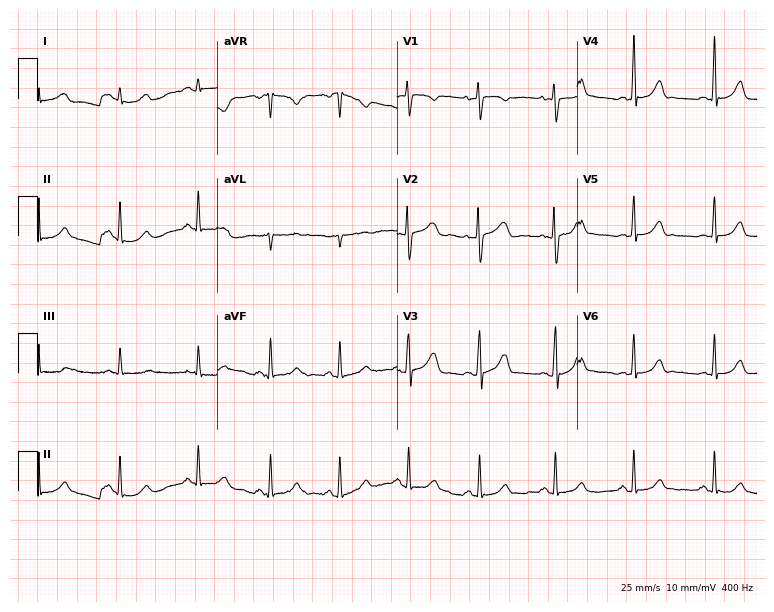
12-lead ECG from a woman, 37 years old. No first-degree AV block, right bundle branch block (RBBB), left bundle branch block (LBBB), sinus bradycardia, atrial fibrillation (AF) or sinus tachycardia recorded for this tracing. Findings outside these six are not listed.